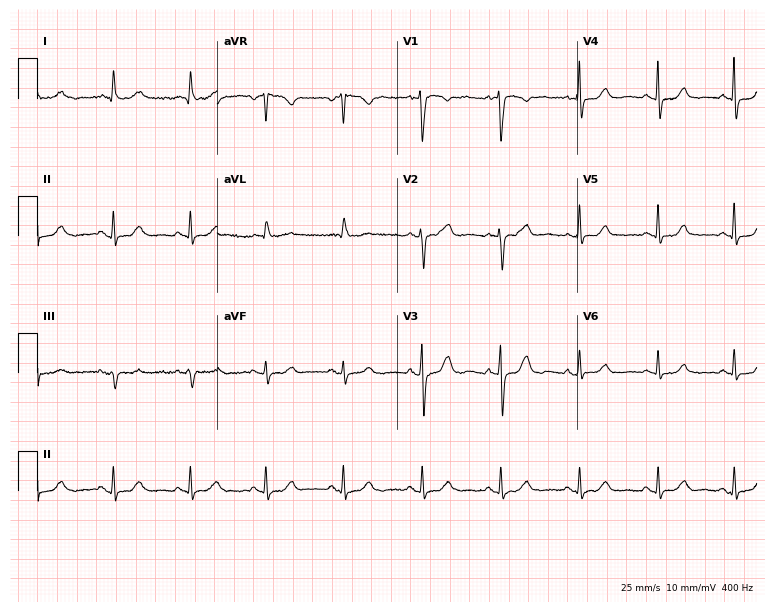
12-lead ECG from a male patient, 85 years old. No first-degree AV block, right bundle branch block (RBBB), left bundle branch block (LBBB), sinus bradycardia, atrial fibrillation (AF) or sinus tachycardia recorded for this tracing.